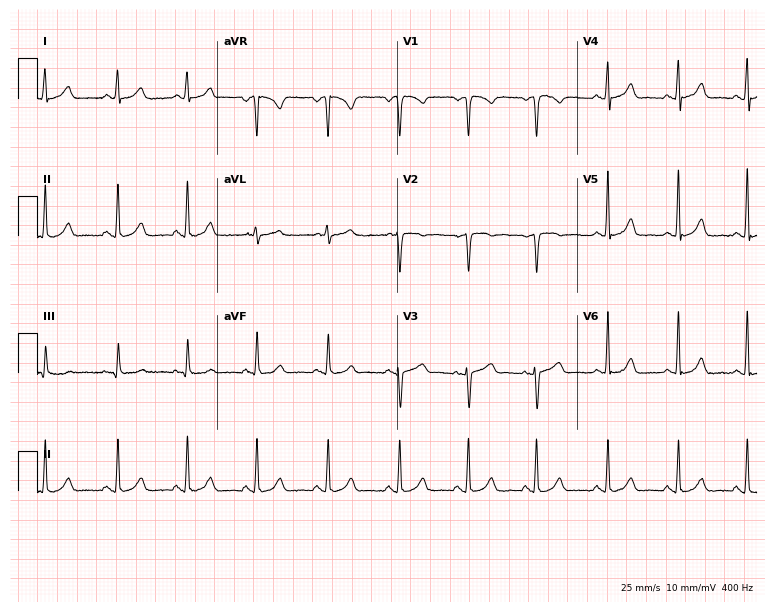
ECG (7.3-second recording at 400 Hz) — a female, 38 years old. Labelled as a normal ECG.